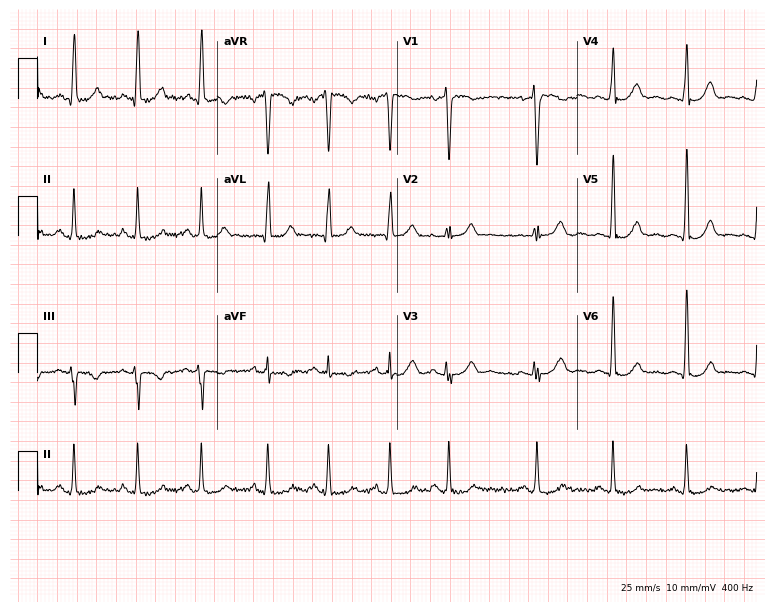
12-lead ECG from a 43-year-old female patient. Labelled as a normal ECG.